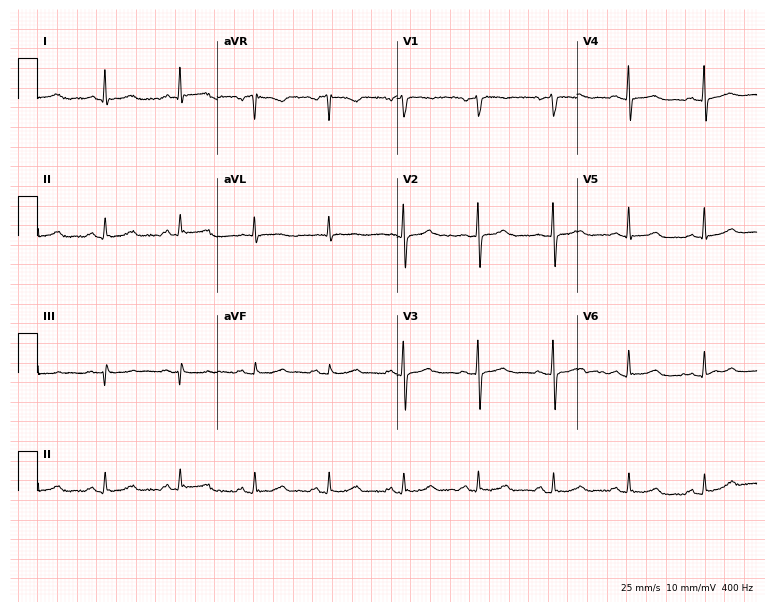
12-lead ECG (7.3-second recording at 400 Hz) from a female patient, 57 years old. Screened for six findings — first-degree AV block, right bundle branch block, left bundle branch block, sinus bradycardia, atrial fibrillation, sinus tachycardia — none is recorded. Only these six findings were labelled.